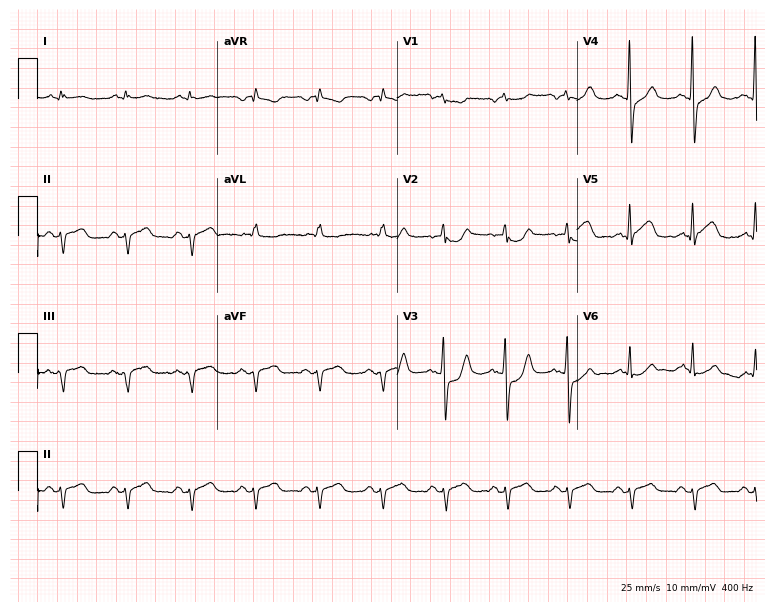
12-lead ECG from a male, 56 years old. Screened for six findings — first-degree AV block, right bundle branch block, left bundle branch block, sinus bradycardia, atrial fibrillation, sinus tachycardia — none is recorded. Only these six findings were labelled.